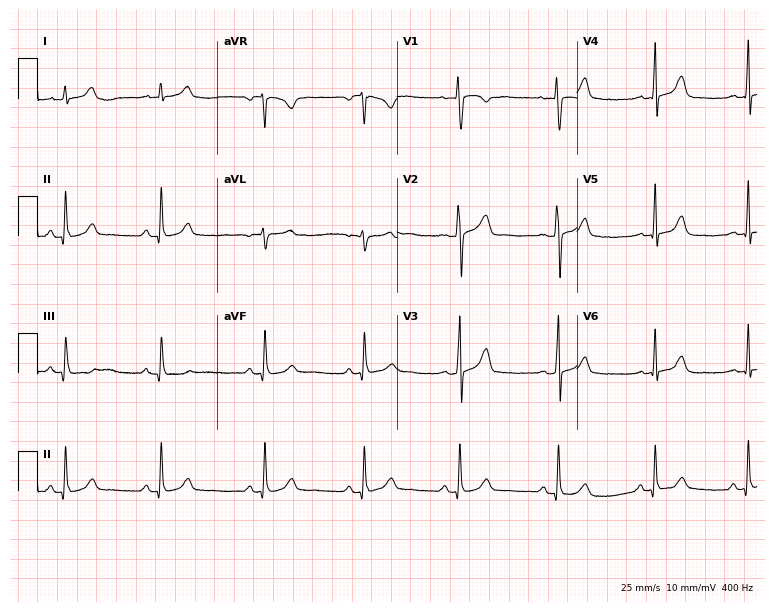
Electrocardiogram, a 27-year-old female patient. Overall reading on record: normal ECG.